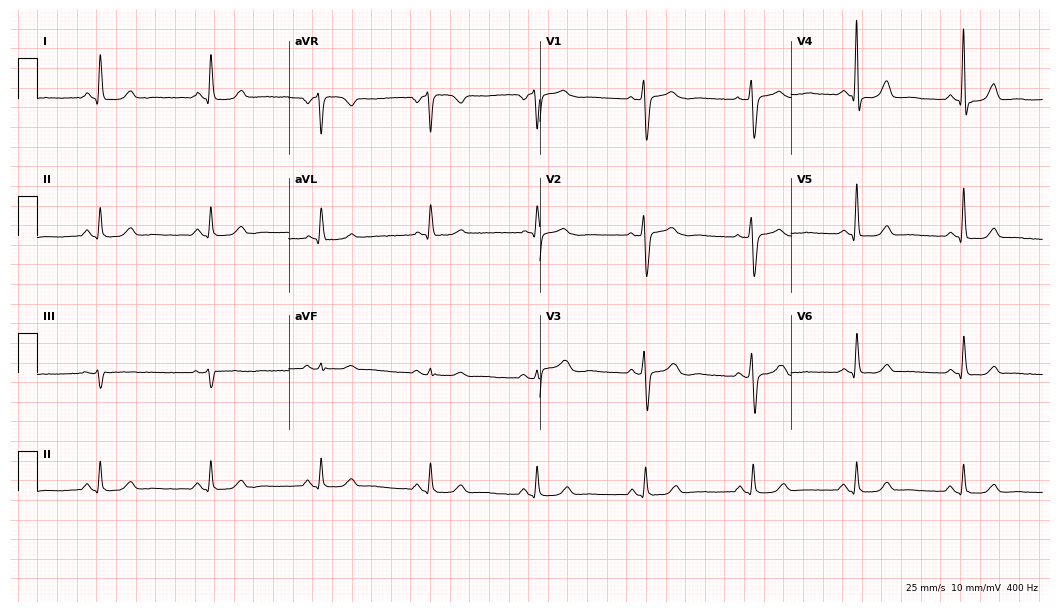
Standard 12-lead ECG recorded from a female patient, 52 years old. Read as a normal ECG.